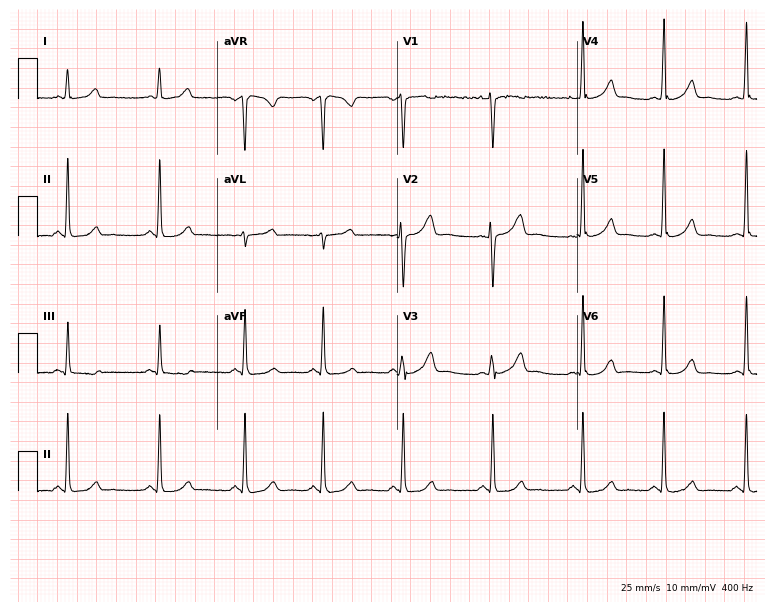
Electrocardiogram, a female, 29 years old. Overall reading on record: normal ECG.